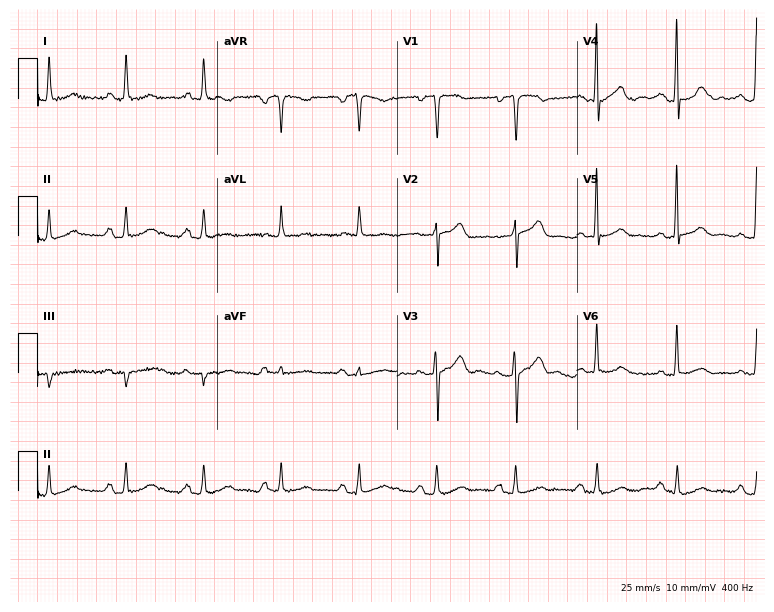
Resting 12-lead electrocardiogram (7.3-second recording at 400 Hz). Patient: a 59-year-old female. None of these six findings is recorded: first-degree AV block, right bundle branch block, left bundle branch block, sinus bradycardia, atrial fibrillation, sinus tachycardia.